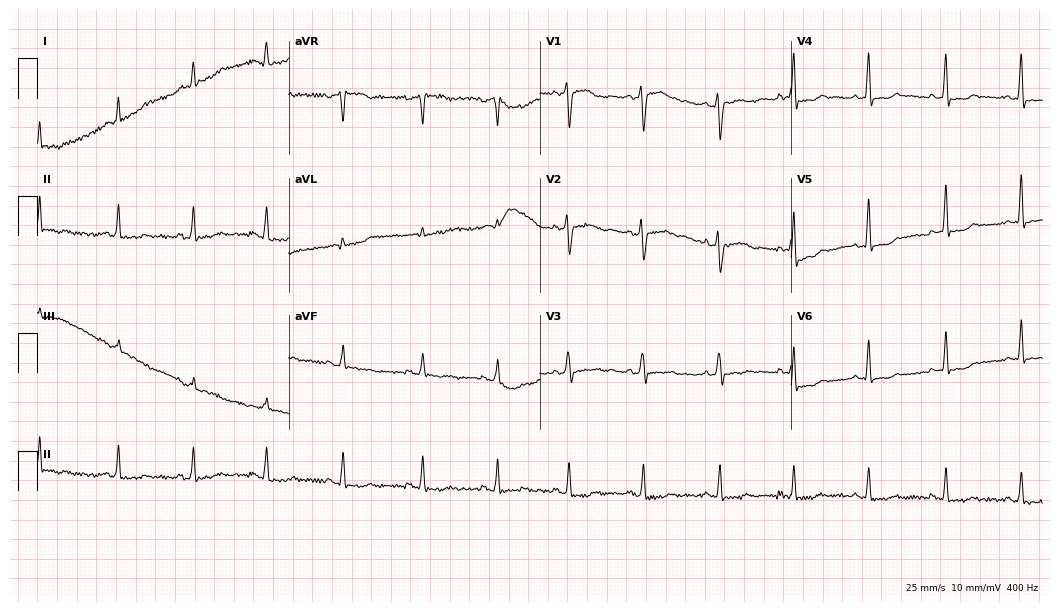
12-lead ECG (10.2-second recording at 400 Hz) from a woman, 38 years old. Screened for six findings — first-degree AV block, right bundle branch block, left bundle branch block, sinus bradycardia, atrial fibrillation, sinus tachycardia — none is recorded. Findings outside these six are not listed.